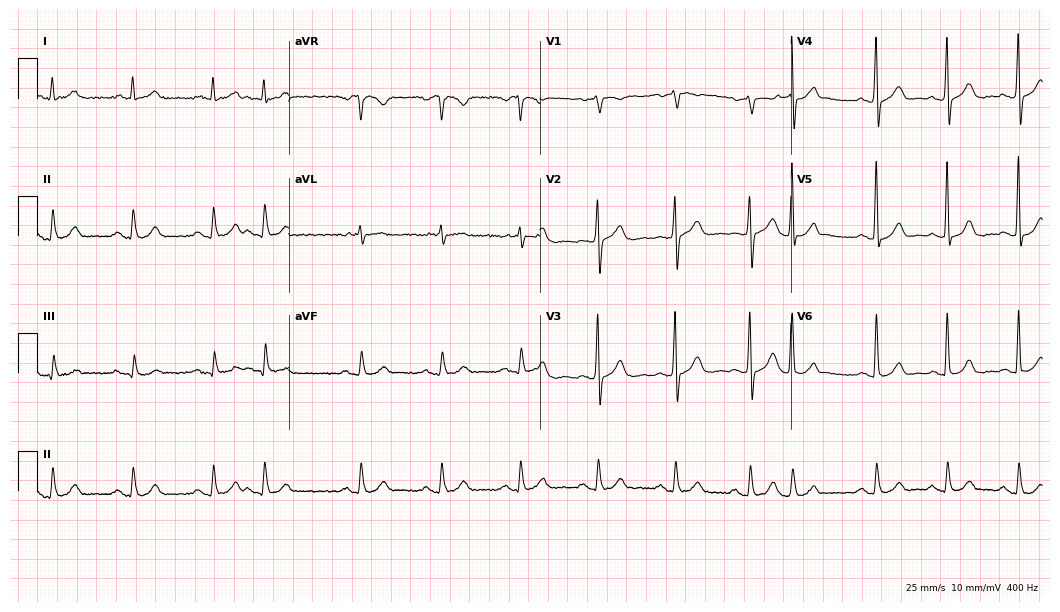
ECG (10.2-second recording at 400 Hz) — a male patient, 71 years old. Screened for six findings — first-degree AV block, right bundle branch block, left bundle branch block, sinus bradycardia, atrial fibrillation, sinus tachycardia — none is recorded.